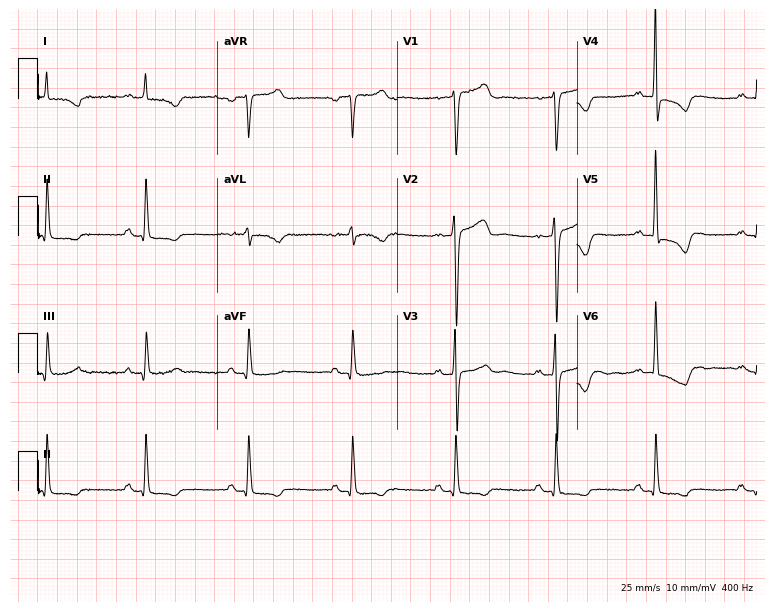
12-lead ECG from a 64-year-old male. Screened for six findings — first-degree AV block, right bundle branch block, left bundle branch block, sinus bradycardia, atrial fibrillation, sinus tachycardia — none is recorded.